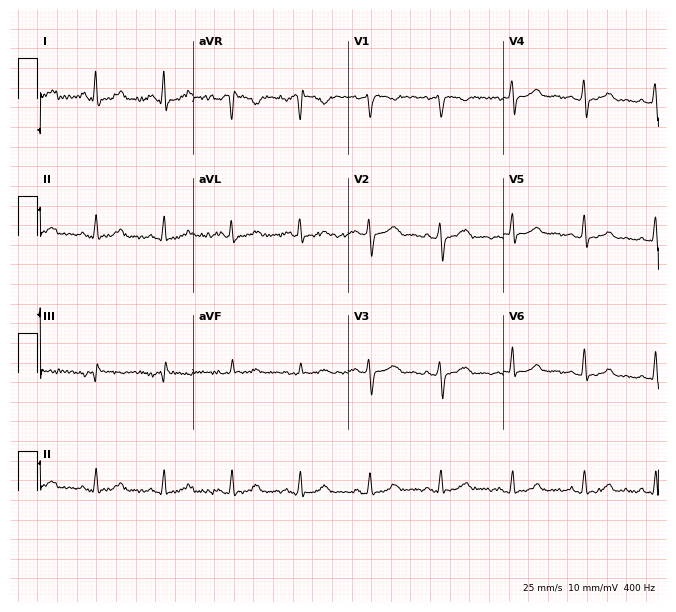
12-lead ECG from a 41-year-old female patient. No first-degree AV block, right bundle branch block, left bundle branch block, sinus bradycardia, atrial fibrillation or sinus tachycardia recorded for this tracing.